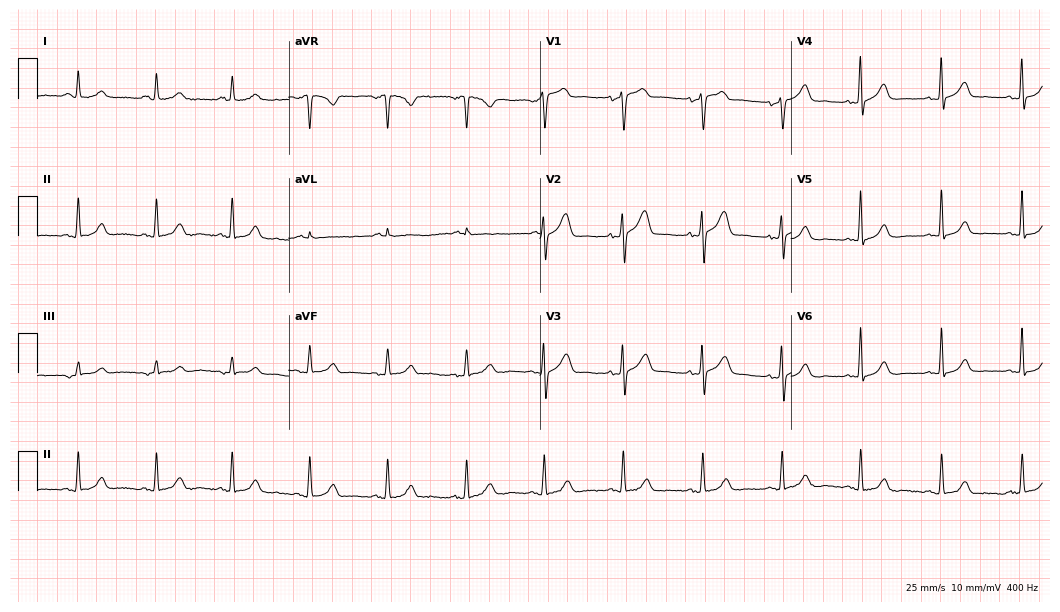
Standard 12-lead ECG recorded from a female patient, 75 years old. Read as a normal ECG.